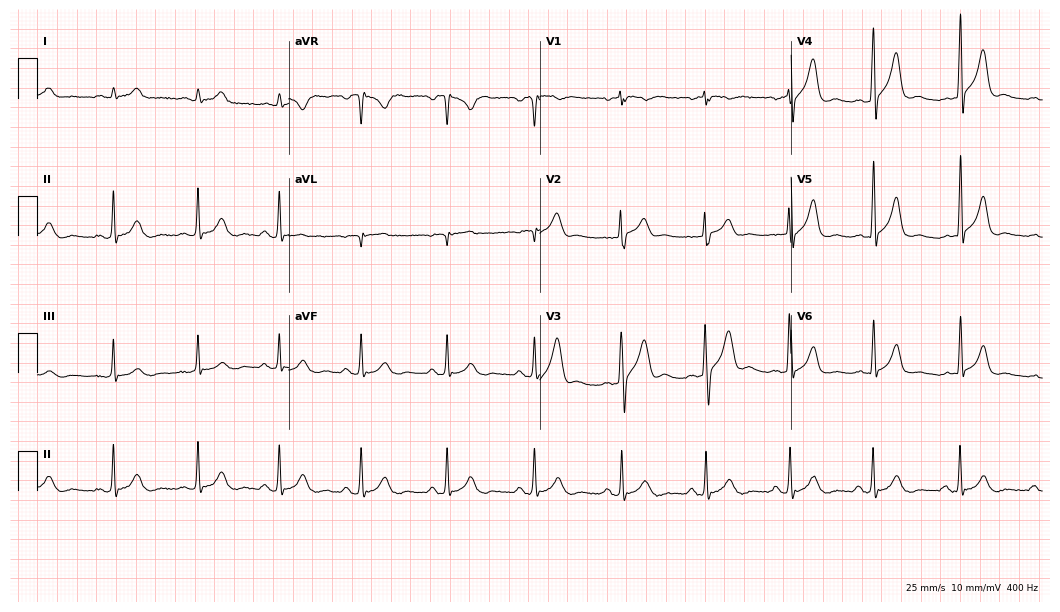
Standard 12-lead ECG recorded from a man, 52 years old. Read as a normal ECG.